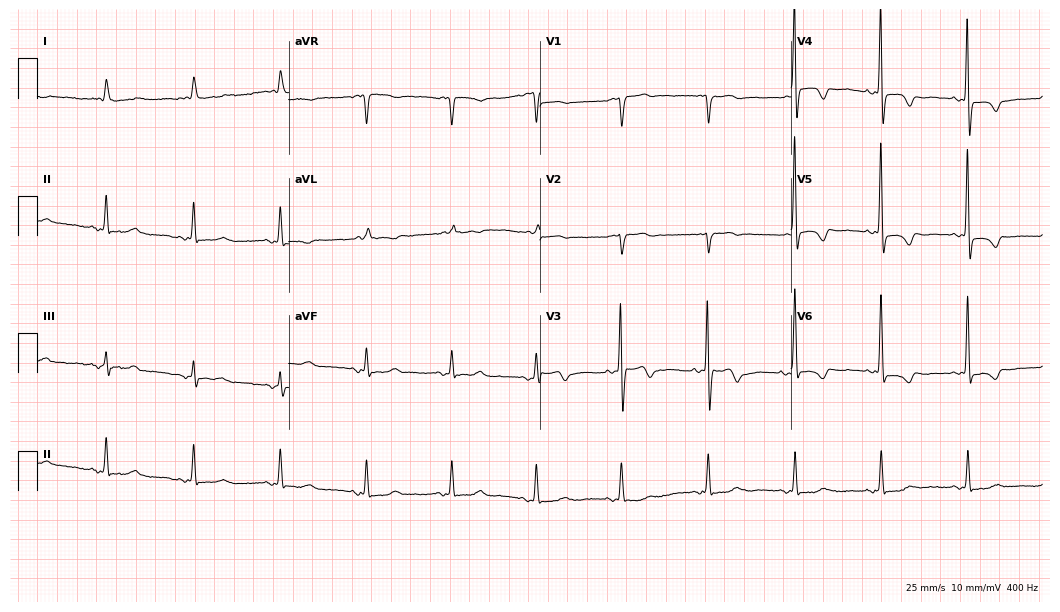
Electrocardiogram (10.2-second recording at 400 Hz), an 86-year-old woman. Of the six screened findings (first-degree AV block, right bundle branch block, left bundle branch block, sinus bradycardia, atrial fibrillation, sinus tachycardia), none is recorded. Findings outside these six are not listed.